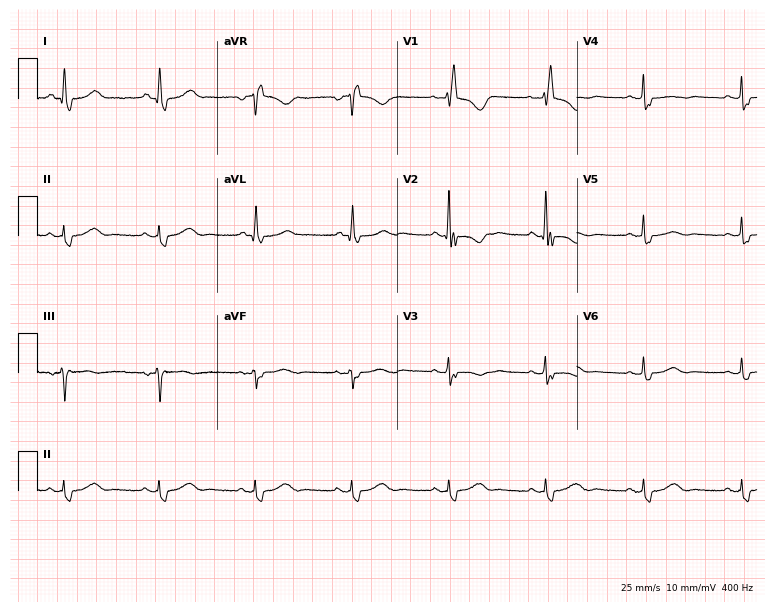
12-lead ECG (7.3-second recording at 400 Hz) from a female, 71 years old. Findings include right bundle branch block.